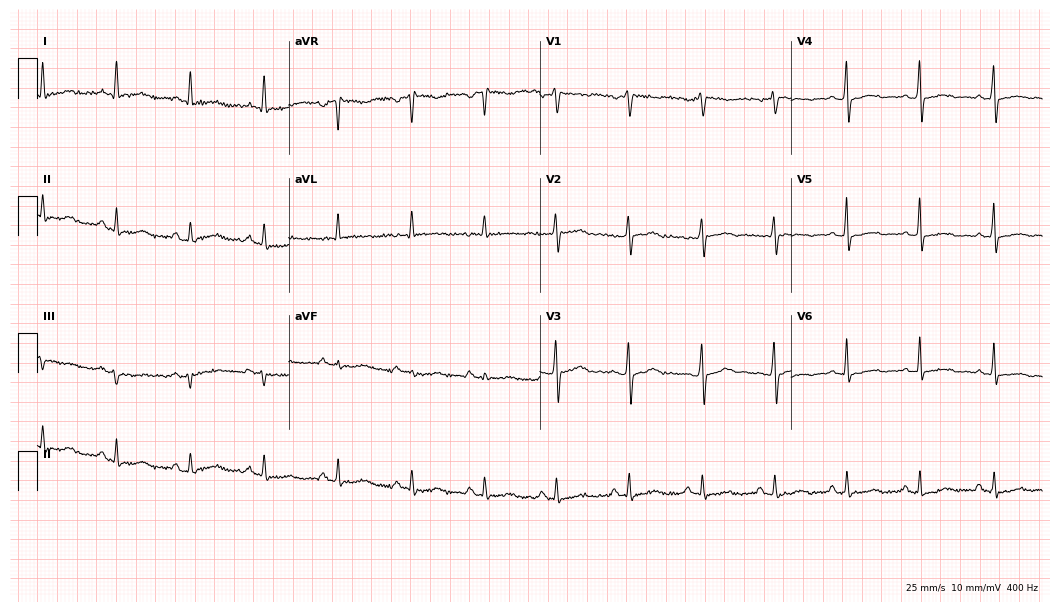
Standard 12-lead ECG recorded from a 63-year-old female. None of these six findings is recorded: first-degree AV block, right bundle branch block (RBBB), left bundle branch block (LBBB), sinus bradycardia, atrial fibrillation (AF), sinus tachycardia.